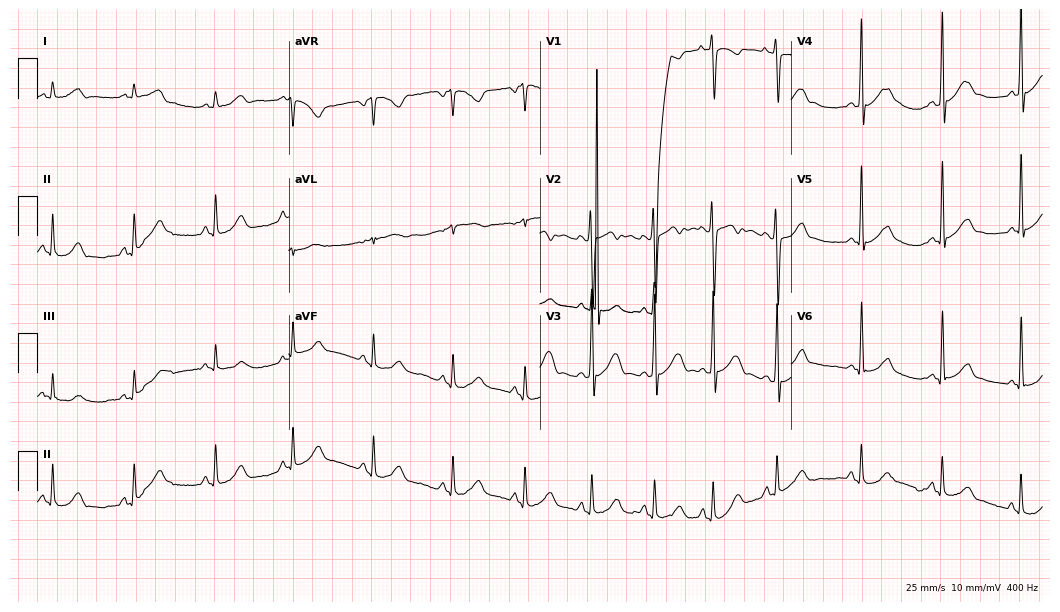
Electrocardiogram, a male patient, 22 years old. Of the six screened findings (first-degree AV block, right bundle branch block (RBBB), left bundle branch block (LBBB), sinus bradycardia, atrial fibrillation (AF), sinus tachycardia), none is recorded.